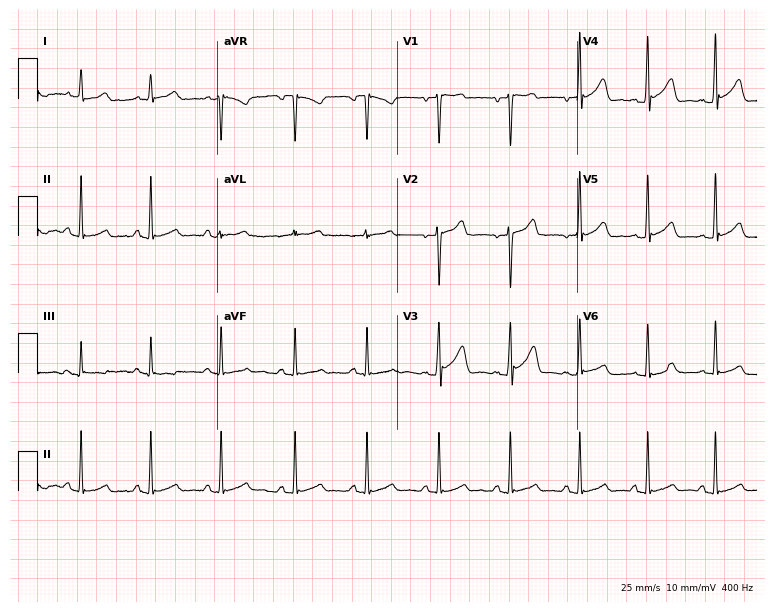
12-lead ECG from a 31-year-old man. Recorded interpretation: within normal limits.